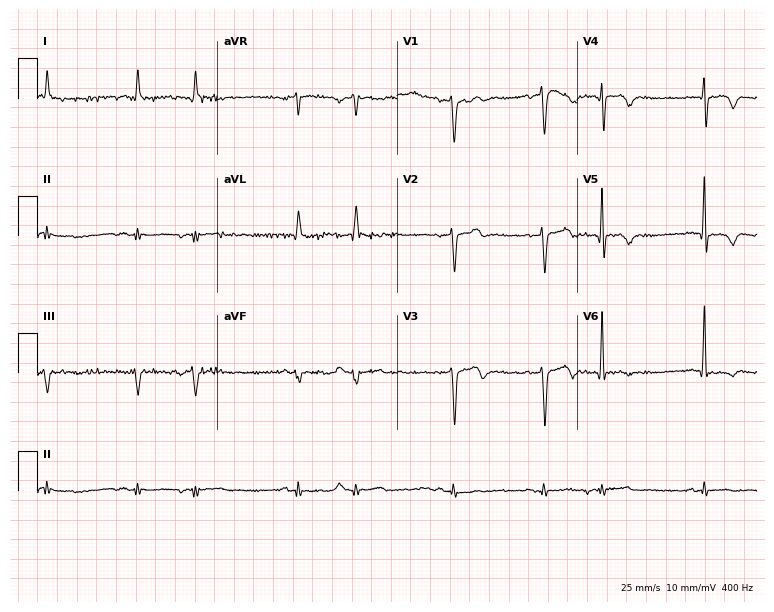
ECG (7.3-second recording at 400 Hz) — a 77-year-old man. Screened for six findings — first-degree AV block, right bundle branch block (RBBB), left bundle branch block (LBBB), sinus bradycardia, atrial fibrillation (AF), sinus tachycardia — none is recorded. Findings outside these six are not listed.